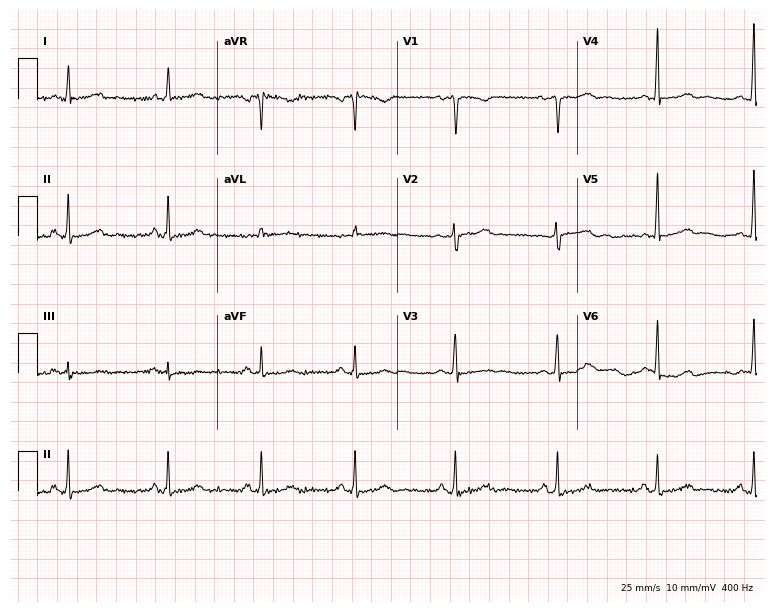
12-lead ECG (7.3-second recording at 400 Hz) from a 45-year-old female. Screened for six findings — first-degree AV block, right bundle branch block, left bundle branch block, sinus bradycardia, atrial fibrillation, sinus tachycardia — none is recorded.